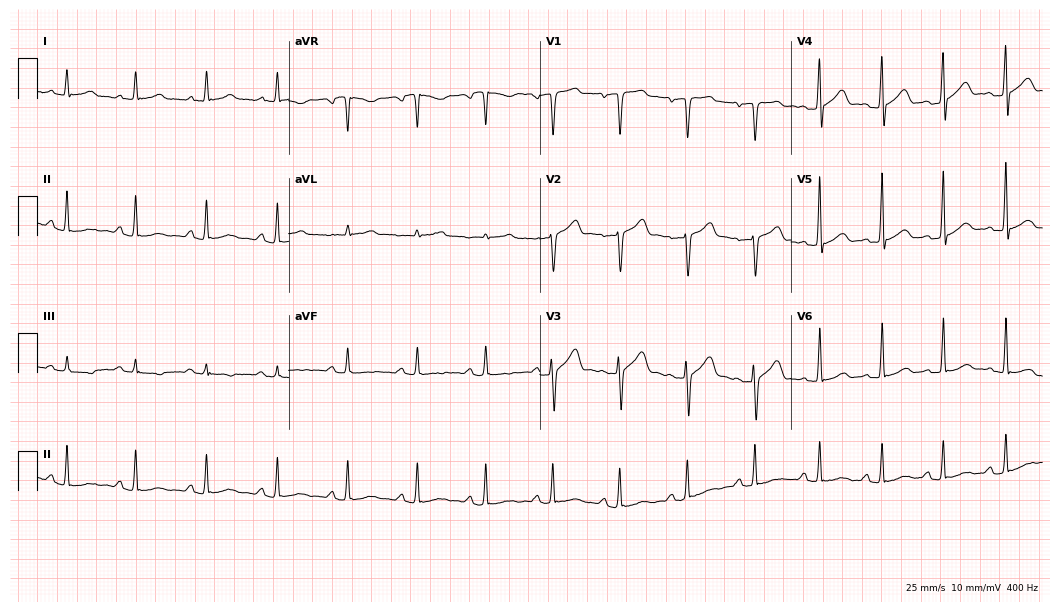
12-lead ECG from a 57-year-old male patient. No first-degree AV block, right bundle branch block, left bundle branch block, sinus bradycardia, atrial fibrillation or sinus tachycardia recorded for this tracing. Findings outside these six are not listed.